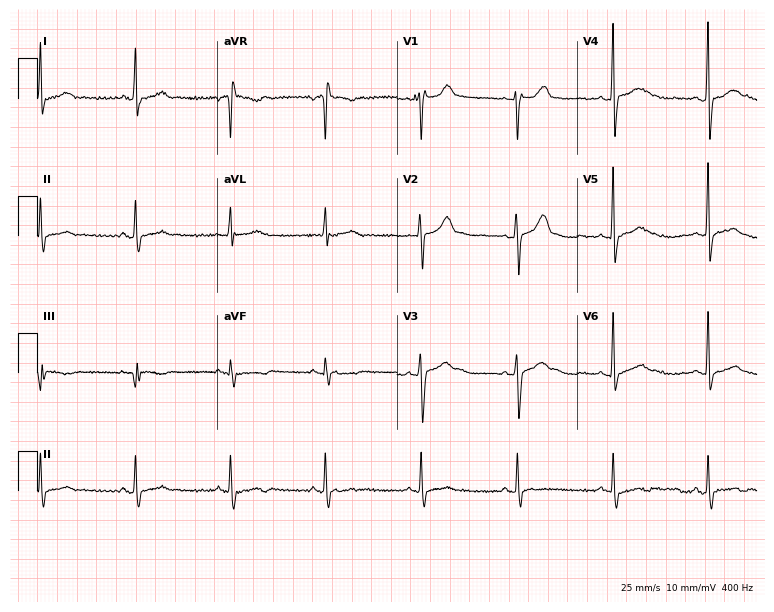
Electrocardiogram (7.3-second recording at 400 Hz), a woman, 22 years old. Of the six screened findings (first-degree AV block, right bundle branch block, left bundle branch block, sinus bradycardia, atrial fibrillation, sinus tachycardia), none is recorded.